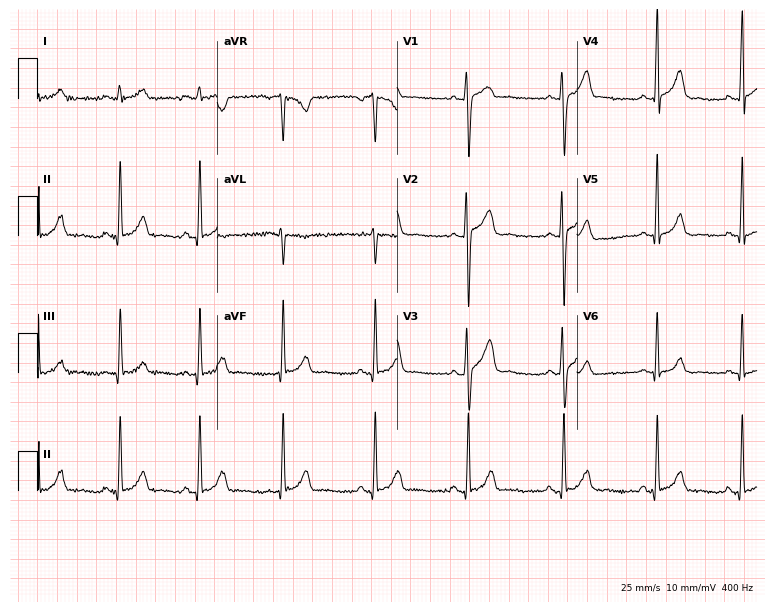
ECG — a man, 35 years old. Labelled as a normal ECG.